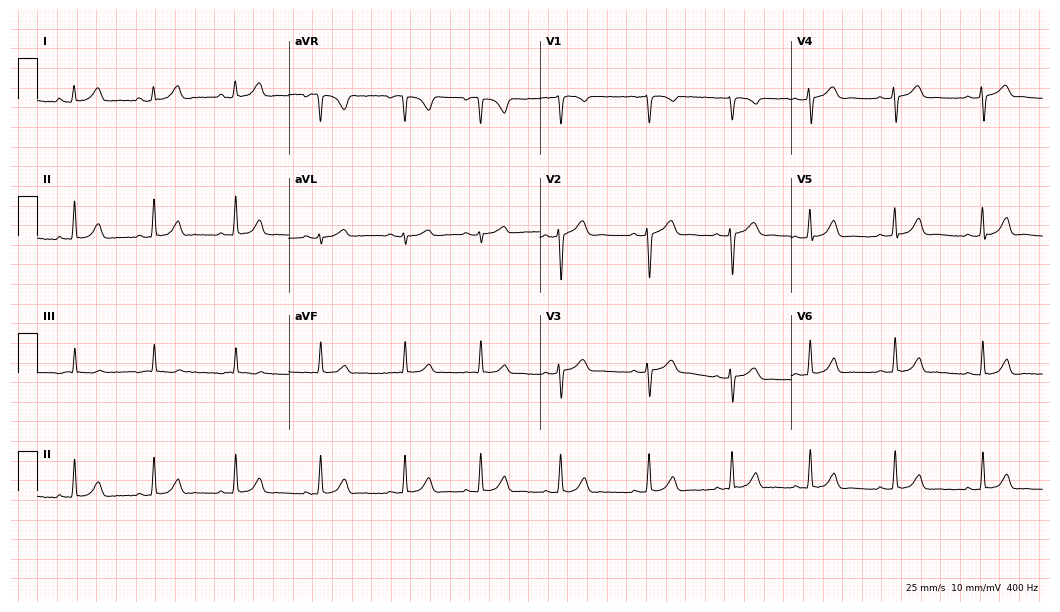
Electrocardiogram, a female patient, 32 years old. Of the six screened findings (first-degree AV block, right bundle branch block, left bundle branch block, sinus bradycardia, atrial fibrillation, sinus tachycardia), none is recorded.